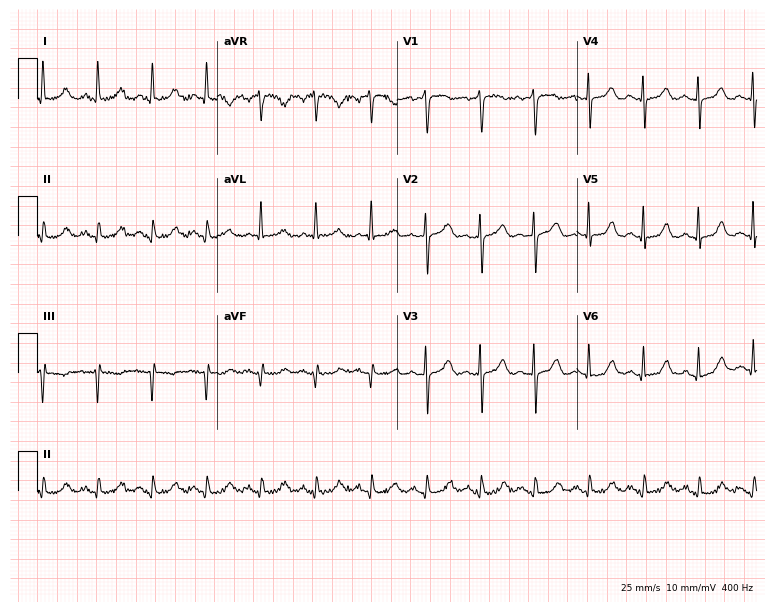
Standard 12-lead ECG recorded from a female, 73 years old. The tracing shows sinus tachycardia (a sinus rate of 100 beats per minute or more).